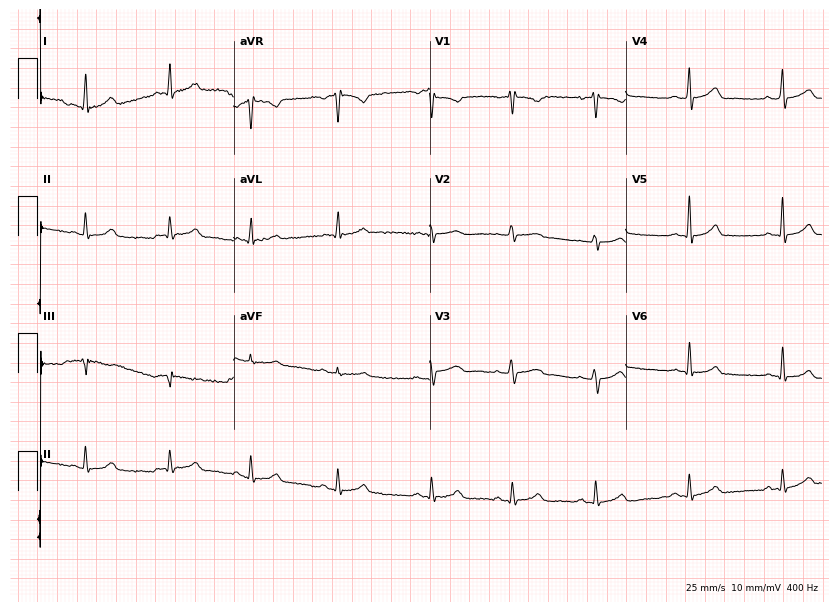
12-lead ECG from a female patient, 39 years old. Screened for six findings — first-degree AV block, right bundle branch block, left bundle branch block, sinus bradycardia, atrial fibrillation, sinus tachycardia — none is recorded. Findings outside these six are not listed.